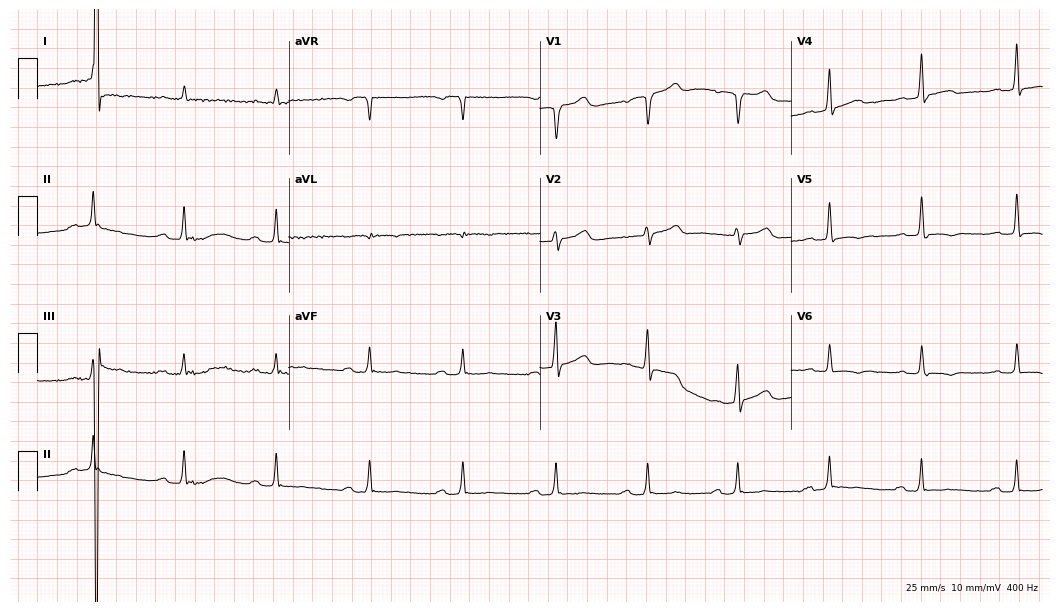
Standard 12-lead ECG recorded from a man, 75 years old (10.2-second recording at 400 Hz). None of these six findings is recorded: first-degree AV block, right bundle branch block (RBBB), left bundle branch block (LBBB), sinus bradycardia, atrial fibrillation (AF), sinus tachycardia. Other findings, if any, are not listed.